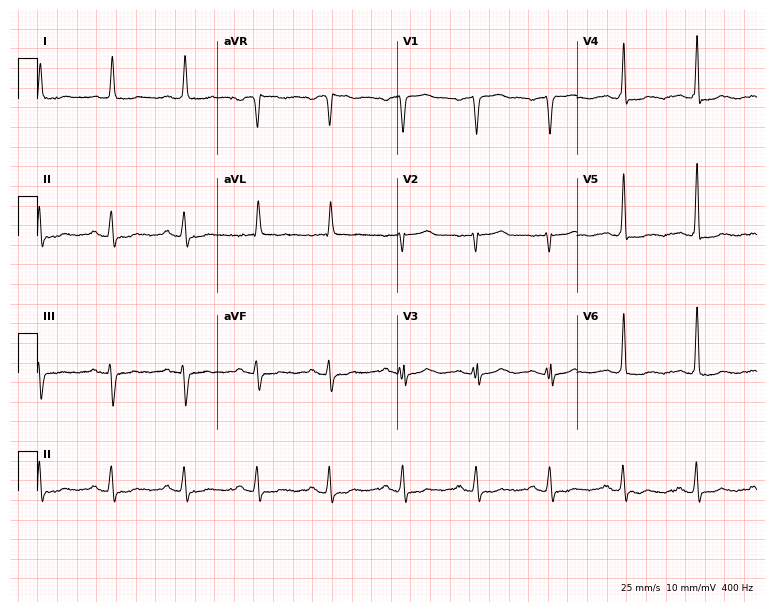
12-lead ECG from an 81-year-old woman. Screened for six findings — first-degree AV block, right bundle branch block, left bundle branch block, sinus bradycardia, atrial fibrillation, sinus tachycardia — none is recorded. Findings outside these six are not listed.